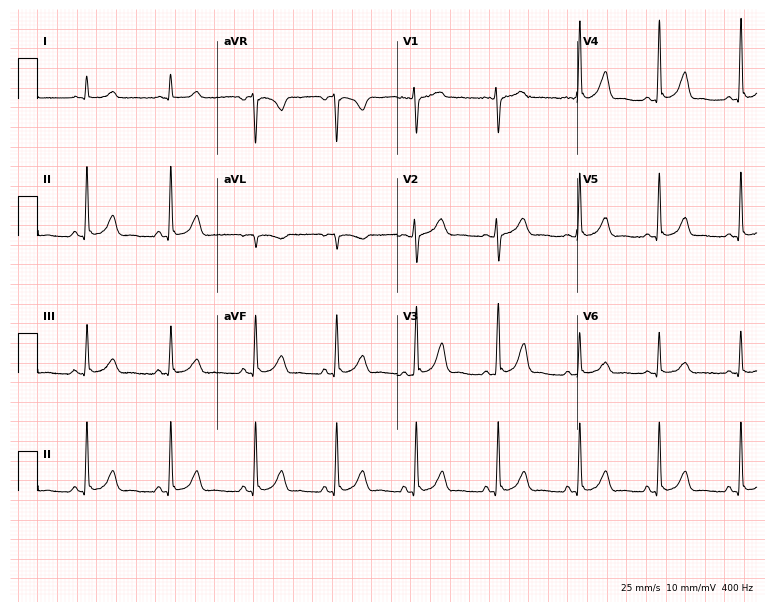
12-lead ECG from a female, 20 years old. Screened for six findings — first-degree AV block, right bundle branch block, left bundle branch block, sinus bradycardia, atrial fibrillation, sinus tachycardia — none is recorded.